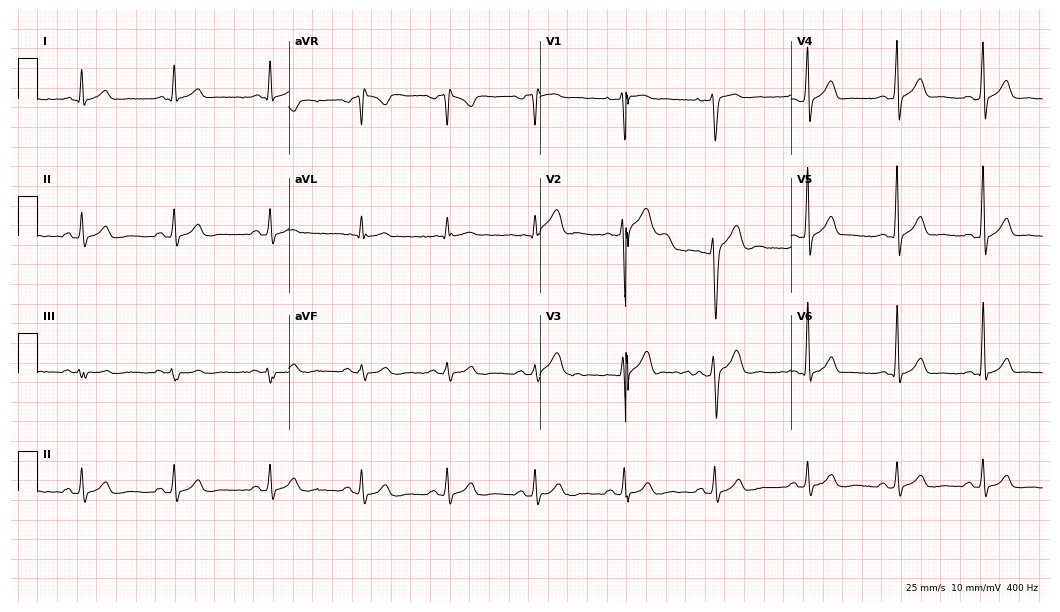
12-lead ECG (10.2-second recording at 400 Hz) from a 25-year-old male. Labelled as a normal ECG.